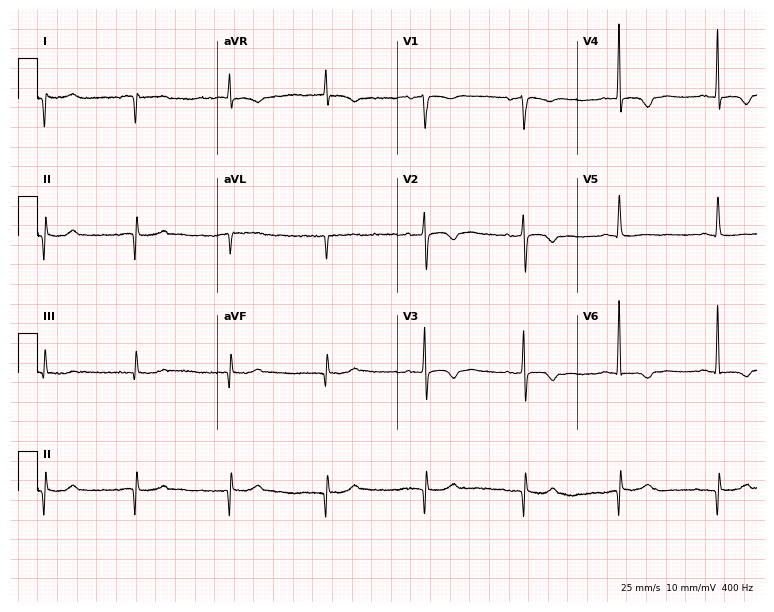
ECG — a 63-year-old female patient. Screened for six findings — first-degree AV block, right bundle branch block (RBBB), left bundle branch block (LBBB), sinus bradycardia, atrial fibrillation (AF), sinus tachycardia — none is recorded.